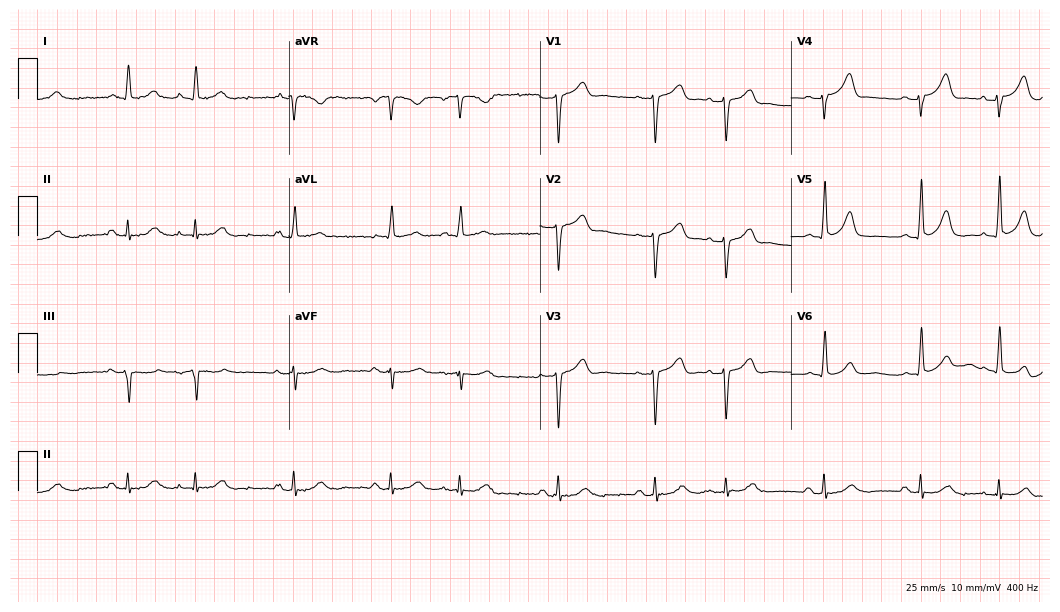
12-lead ECG from a man, 74 years old. Screened for six findings — first-degree AV block, right bundle branch block, left bundle branch block, sinus bradycardia, atrial fibrillation, sinus tachycardia — none is recorded.